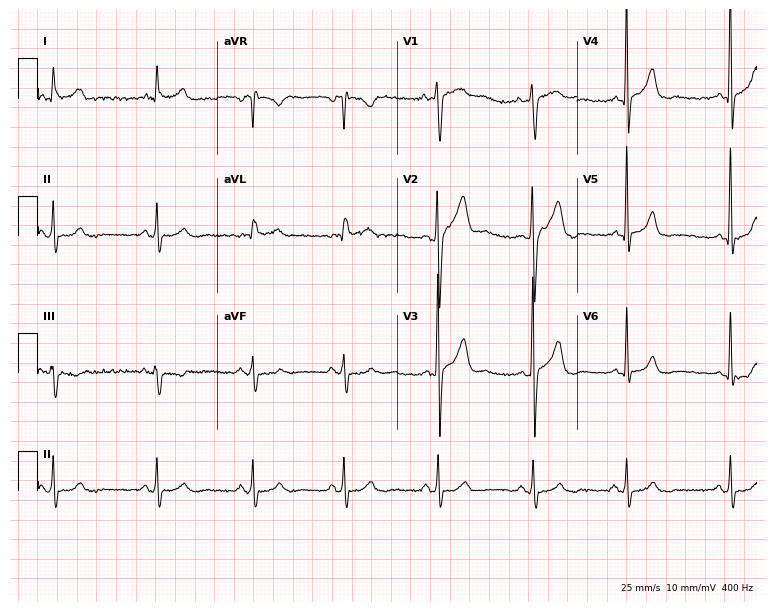
Standard 12-lead ECG recorded from a 38-year-old male patient (7.3-second recording at 400 Hz). None of these six findings is recorded: first-degree AV block, right bundle branch block, left bundle branch block, sinus bradycardia, atrial fibrillation, sinus tachycardia.